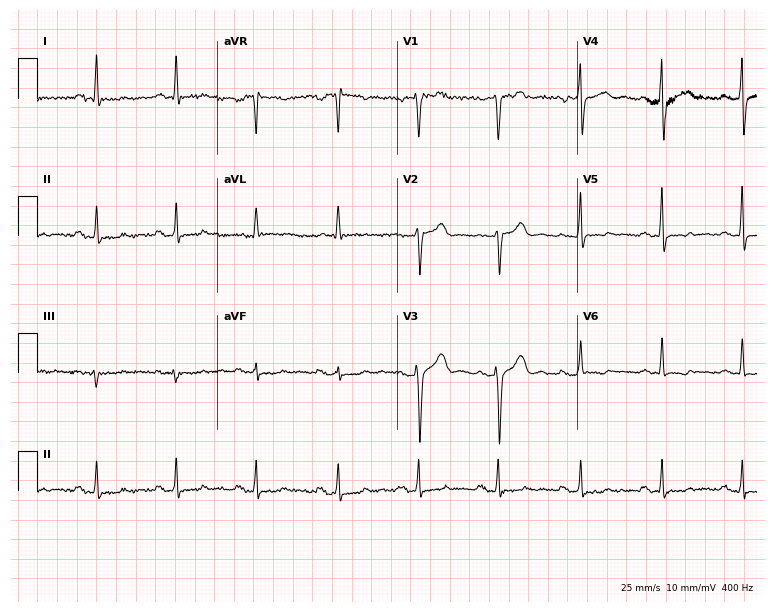
12-lead ECG (7.3-second recording at 400 Hz) from a male patient, 43 years old. Labelled as a normal ECG.